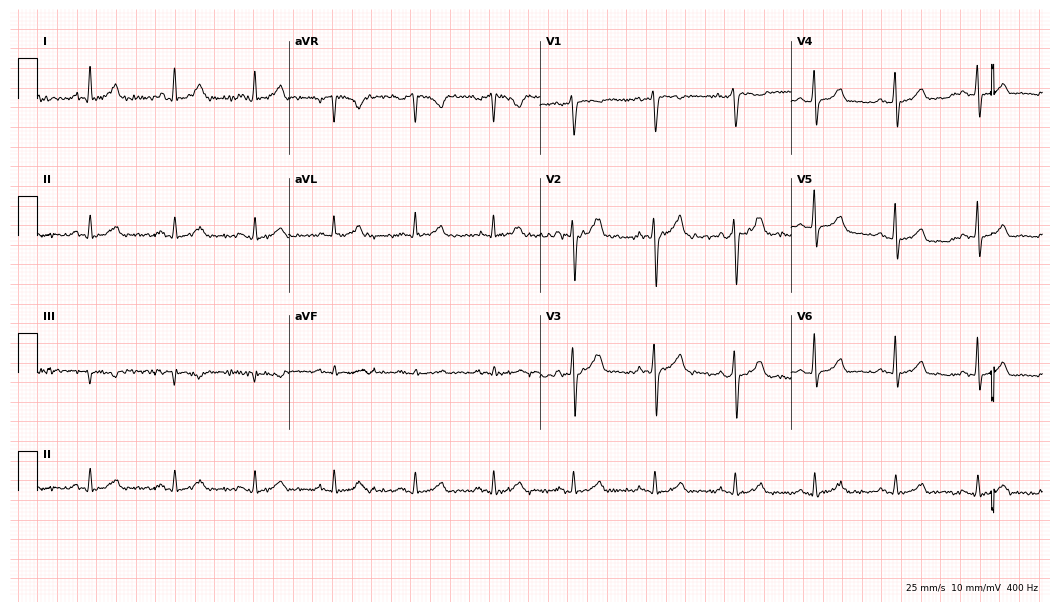
12-lead ECG from a man, 38 years old. Labelled as a normal ECG.